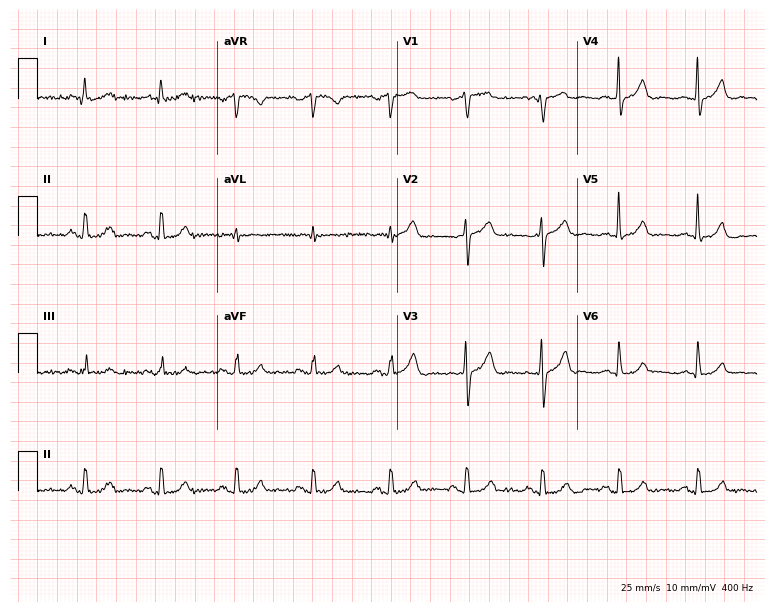
12-lead ECG (7.3-second recording at 400 Hz) from a 68-year-old man. Labelled as a normal ECG.